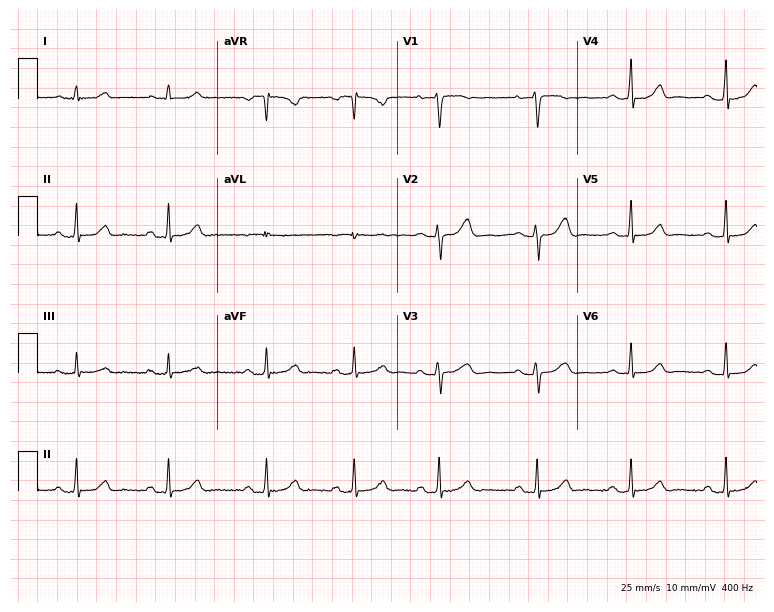
Resting 12-lead electrocardiogram (7.3-second recording at 400 Hz). Patient: a woman, 17 years old. The tracing shows first-degree AV block.